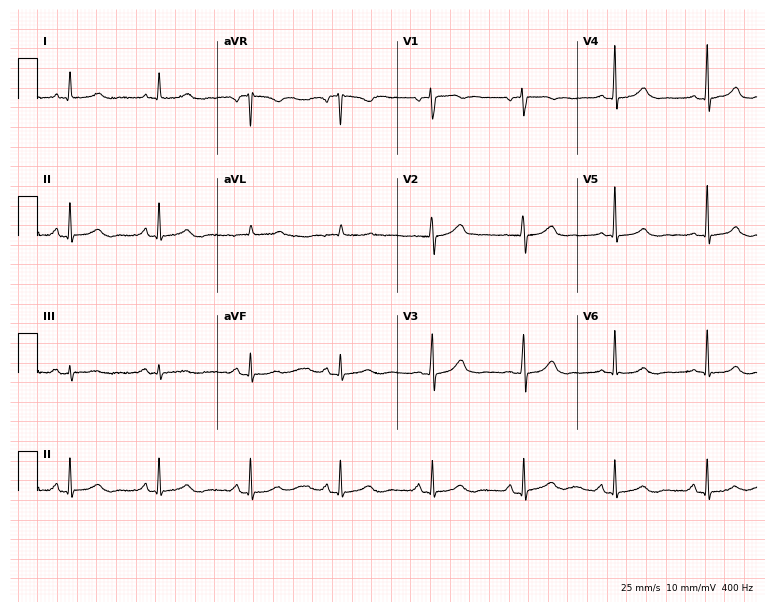
ECG (7.3-second recording at 400 Hz) — a 65-year-old female. Labelled as a normal ECG.